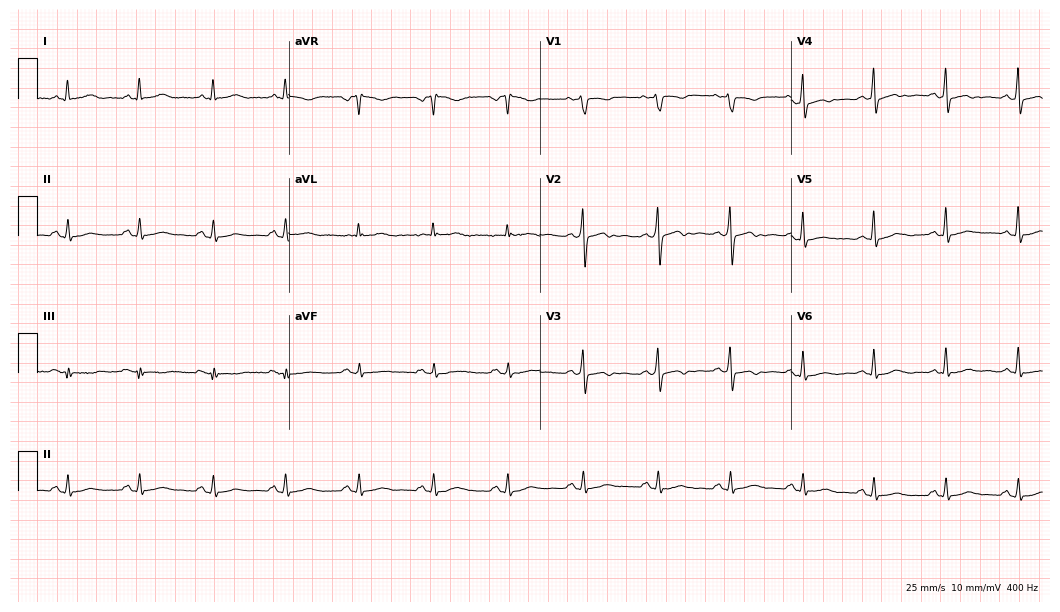
12-lead ECG (10.2-second recording at 400 Hz) from a woman, 47 years old. Screened for six findings — first-degree AV block, right bundle branch block (RBBB), left bundle branch block (LBBB), sinus bradycardia, atrial fibrillation (AF), sinus tachycardia — none is recorded.